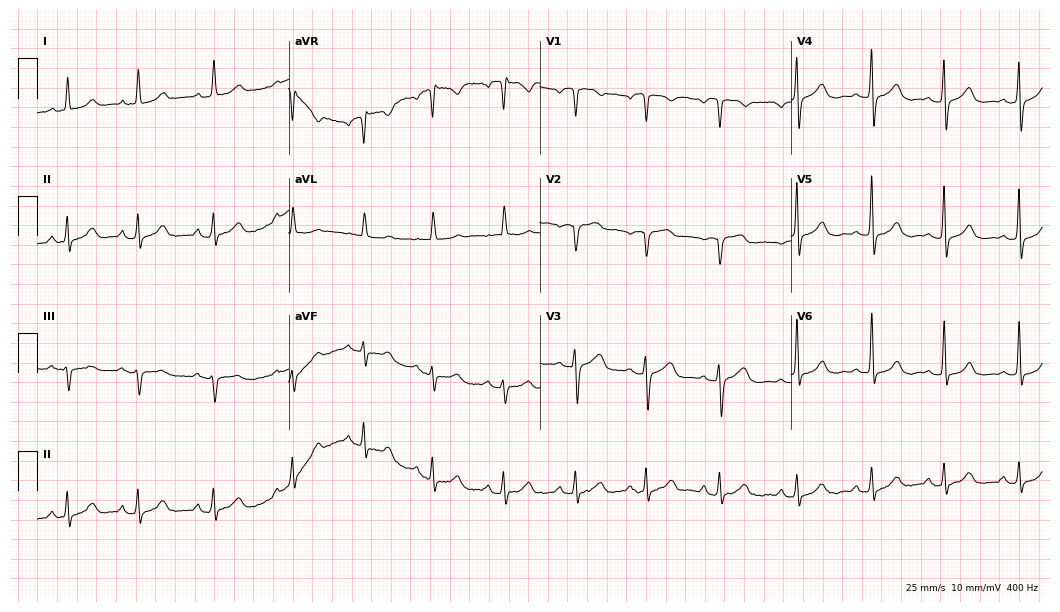
Resting 12-lead electrocardiogram. Patient: a 55-year-old female. Read as a normal ECG.